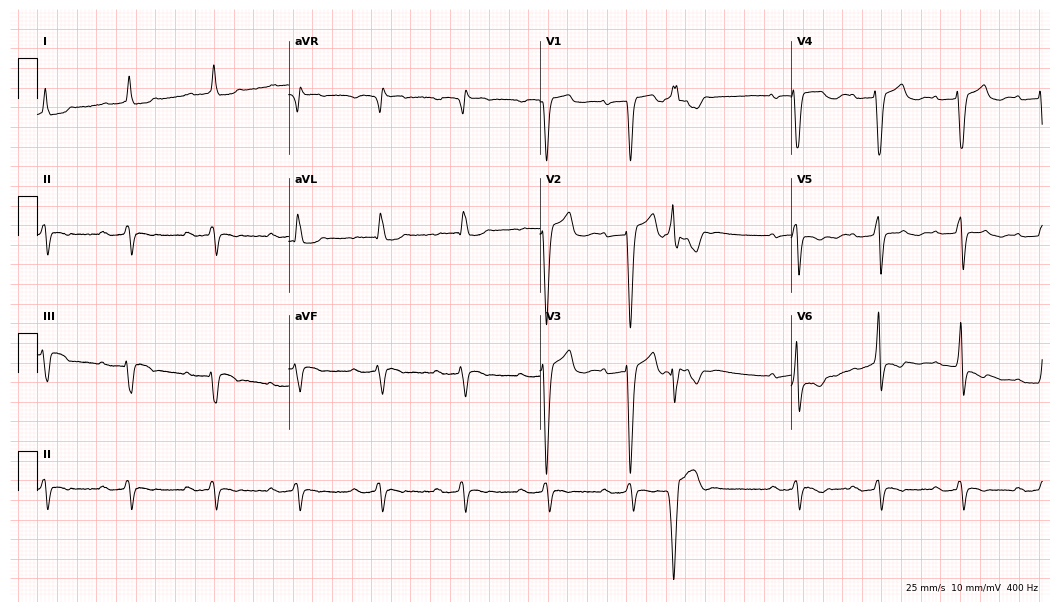
Standard 12-lead ECG recorded from a woman, 80 years old. The tracing shows left bundle branch block (LBBB).